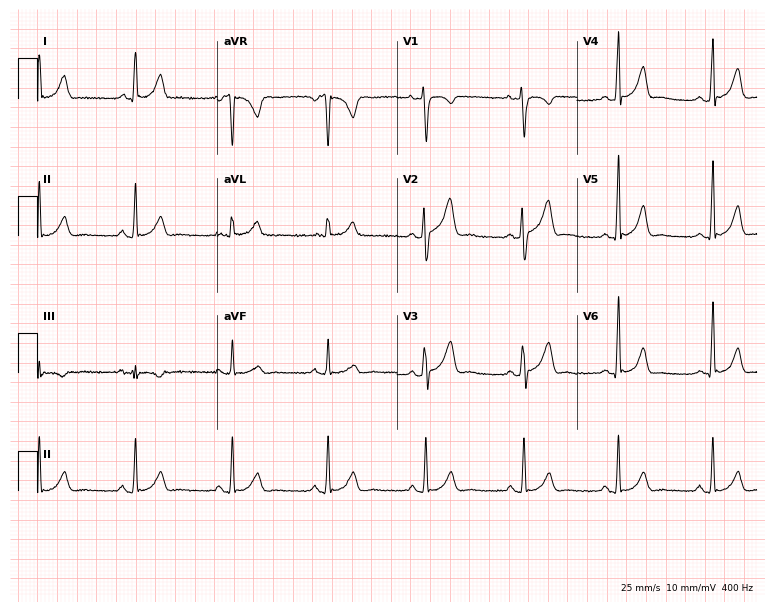
Electrocardiogram (7.3-second recording at 400 Hz), a male, 44 years old. Overall reading on record: normal ECG.